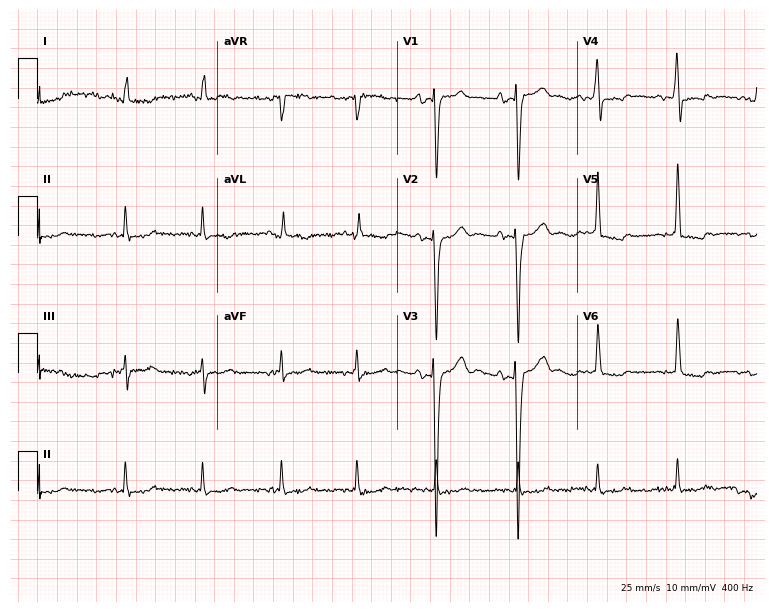
Resting 12-lead electrocardiogram (7.3-second recording at 400 Hz). Patient: a 67-year-old male. None of these six findings is recorded: first-degree AV block, right bundle branch block, left bundle branch block, sinus bradycardia, atrial fibrillation, sinus tachycardia. Findings outside these six are not listed.